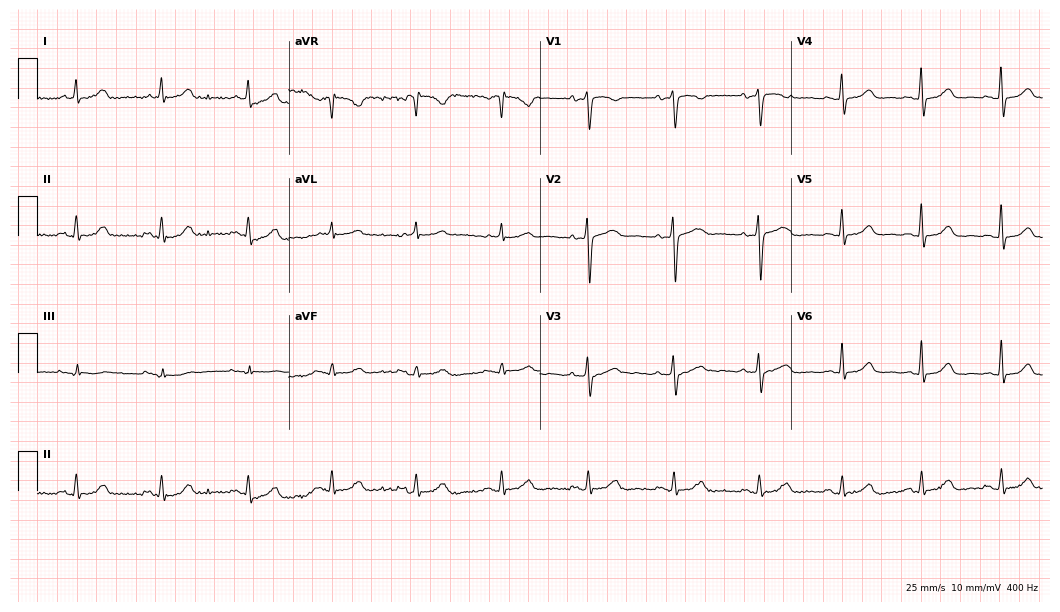
12-lead ECG from a 72-year-old female. Recorded interpretation: within normal limits.